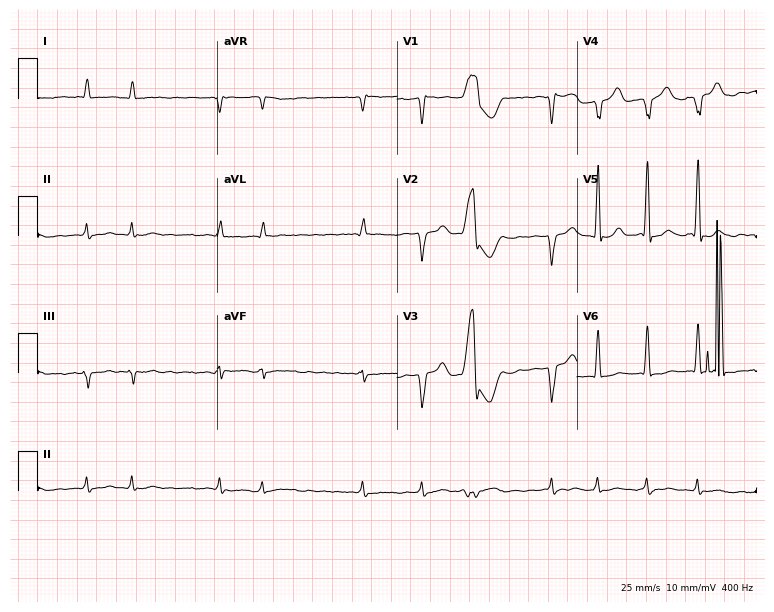
Resting 12-lead electrocardiogram (7.3-second recording at 400 Hz). Patient: a male, 84 years old. The tracing shows atrial fibrillation.